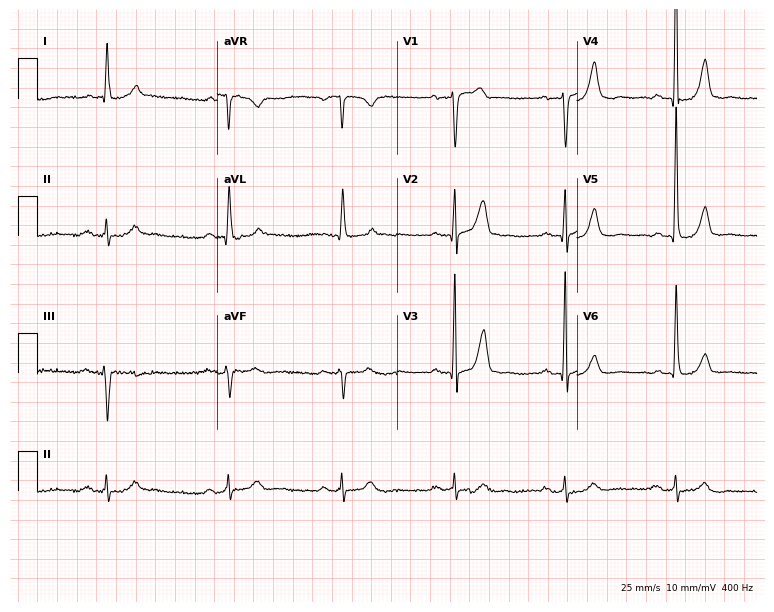
Electrocardiogram, an 80-year-old male. Of the six screened findings (first-degree AV block, right bundle branch block, left bundle branch block, sinus bradycardia, atrial fibrillation, sinus tachycardia), none is recorded. Only these six findings were labelled.